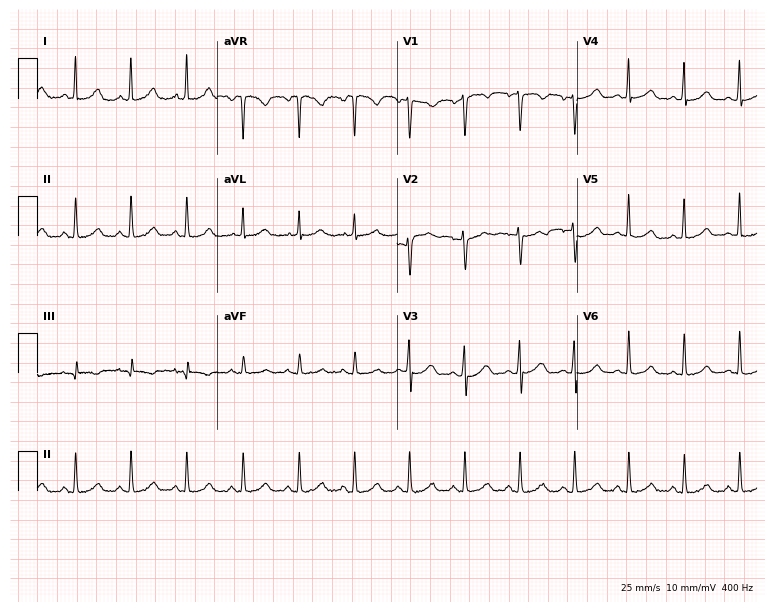
ECG (7.3-second recording at 400 Hz) — a 29-year-old female patient. Findings include sinus tachycardia (a sinus rate of 100 beats per minute or more).